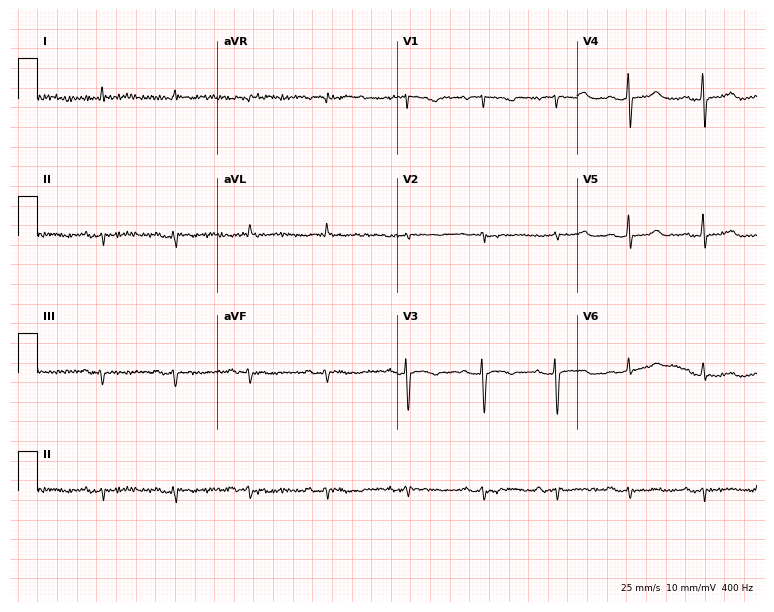
Electrocardiogram (7.3-second recording at 400 Hz), a 79-year-old female. Of the six screened findings (first-degree AV block, right bundle branch block, left bundle branch block, sinus bradycardia, atrial fibrillation, sinus tachycardia), none is recorded. Findings outside these six are not listed.